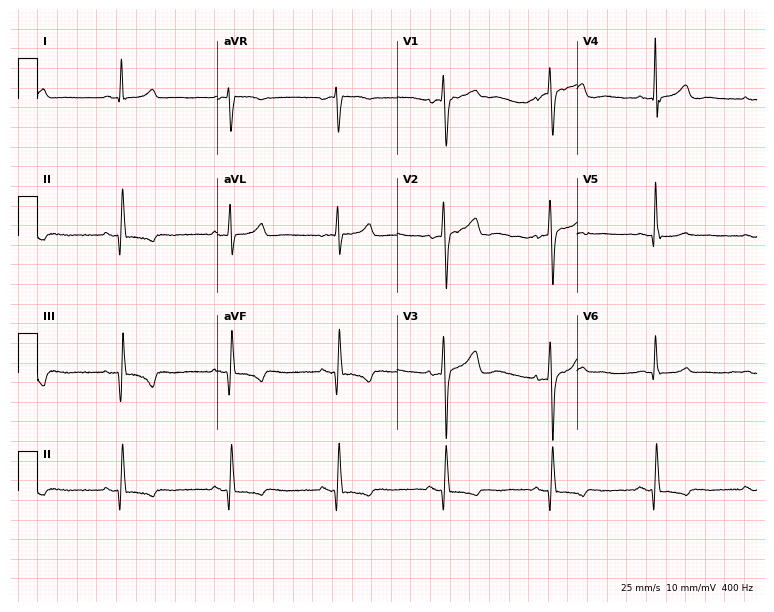
Resting 12-lead electrocardiogram (7.3-second recording at 400 Hz). Patient: a woman, 69 years old. Read as a normal ECG.